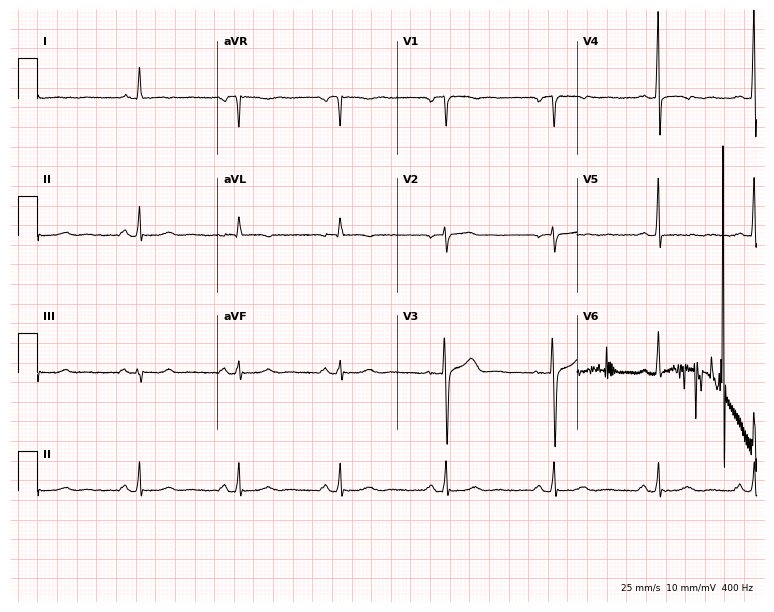
Standard 12-lead ECG recorded from a 49-year-old female patient (7.3-second recording at 400 Hz). None of these six findings is recorded: first-degree AV block, right bundle branch block, left bundle branch block, sinus bradycardia, atrial fibrillation, sinus tachycardia.